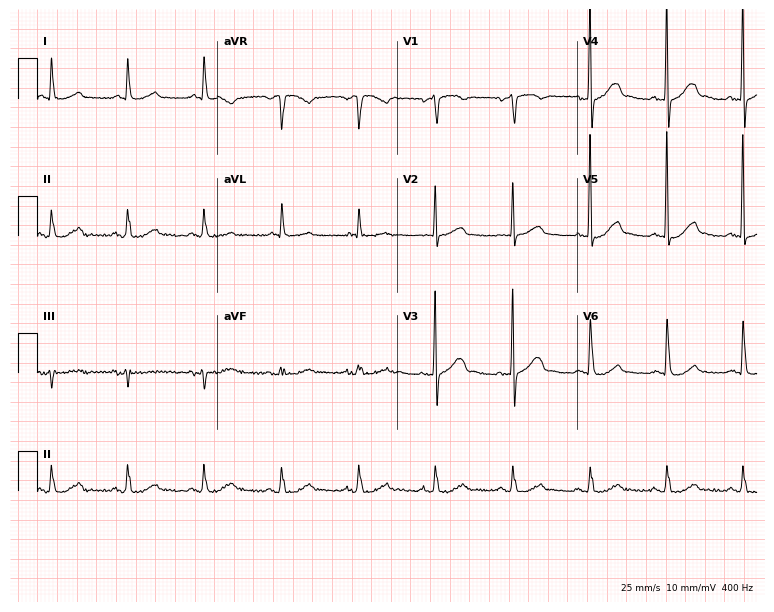
ECG — a 79-year-old male patient. Labelled as a normal ECG.